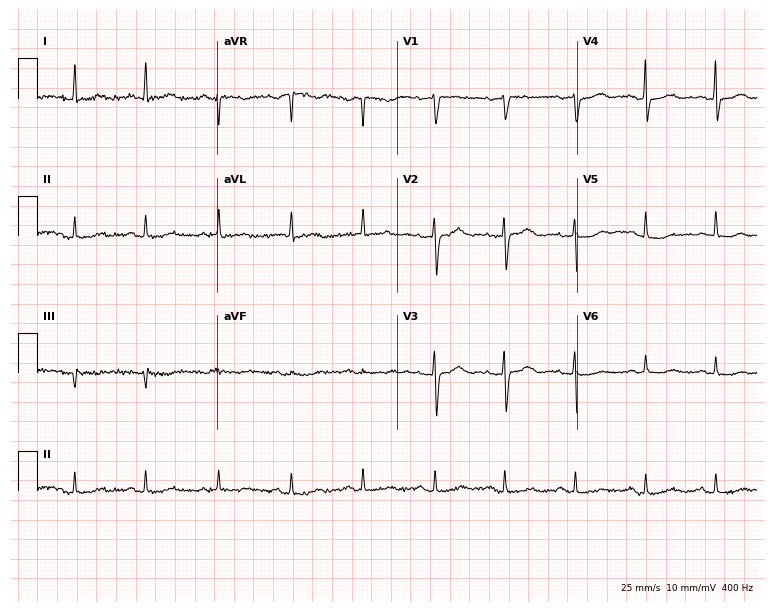
Resting 12-lead electrocardiogram (7.3-second recording at 400 Hz). Patient: a female, 56 years old. Read as a normal ECG.